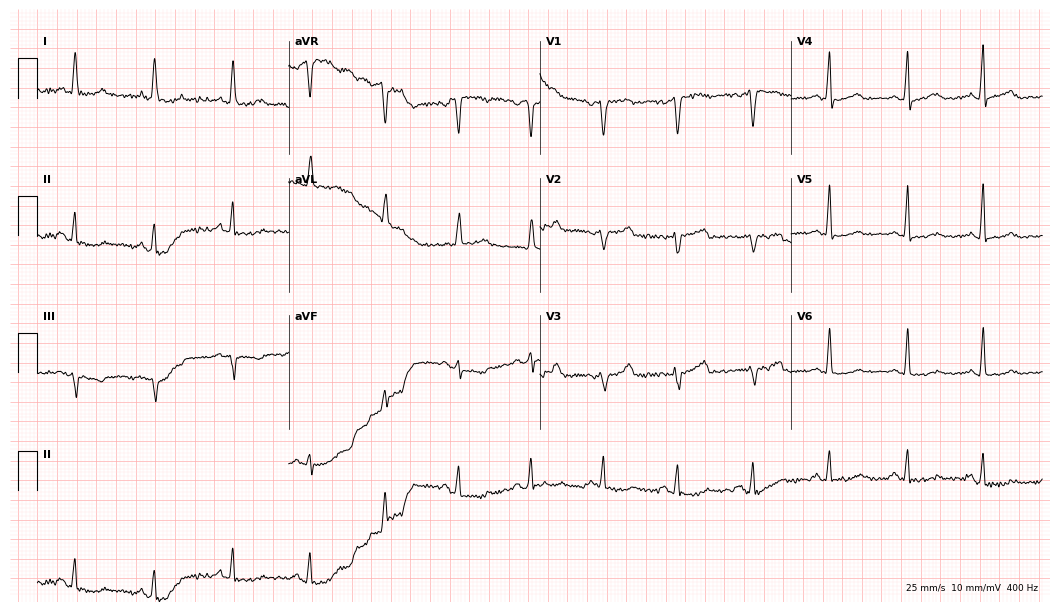
ECG — a 58-year-old female patient. Labelled as a normal ECG.